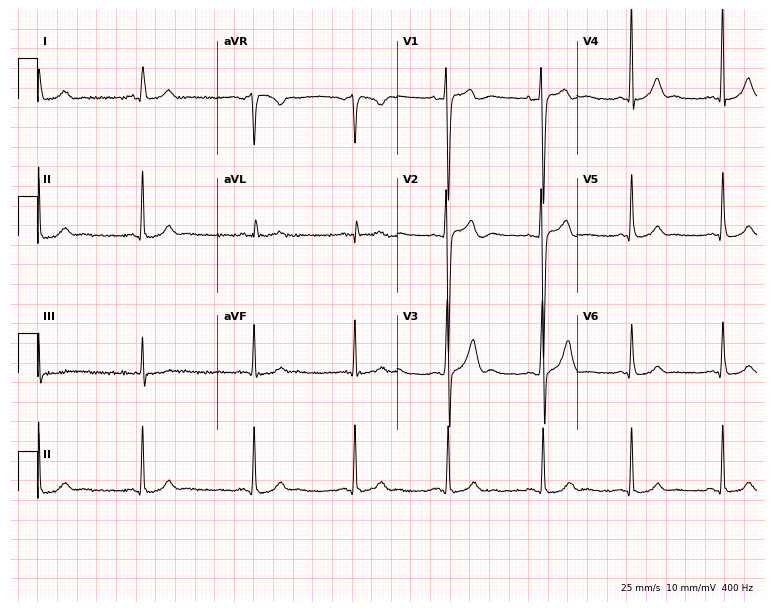
Electrocardiogram, a male, 21 years old. Overall reading on record: normal ECG.